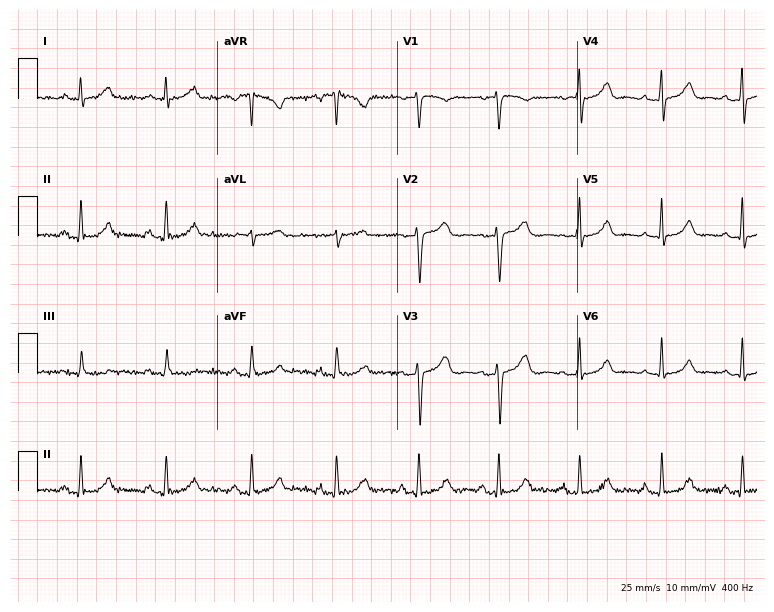
12-lead ECG (7.3-second recording at 400 Hz) from a 45-year-old female. Screened for six findings — first-degree AV block, right bundle branch block, left bundle branch block, sinus bradycardia, atrial fibrillation, sinus tachycardia — none is recorded. Findings outside these six are not listed.